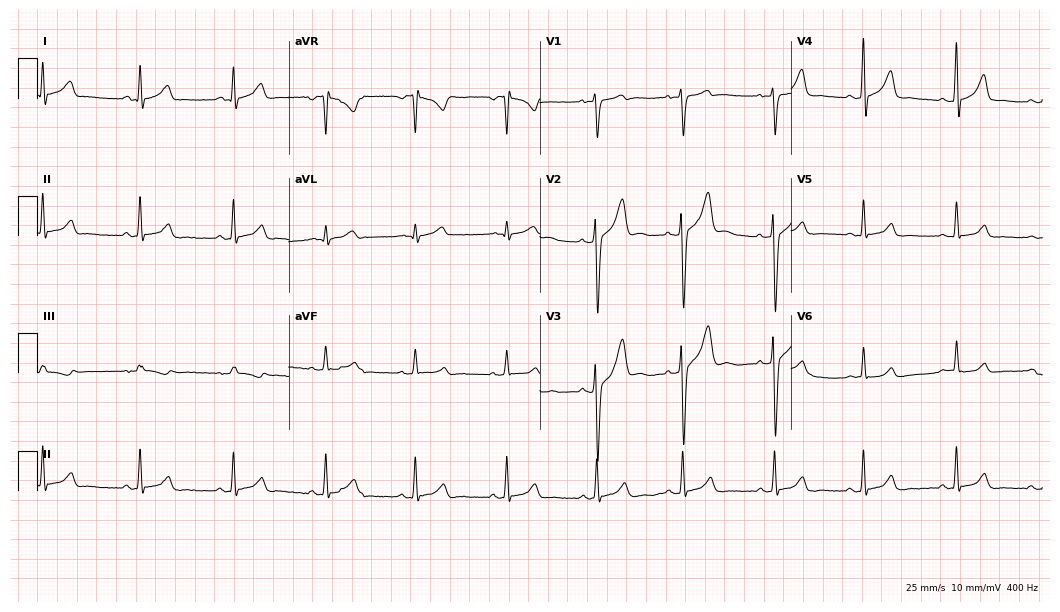
Electrocardiogram (10.2-second recording at 400 Hz), a 25-year-old man. Overall reading on record: normal ECG.